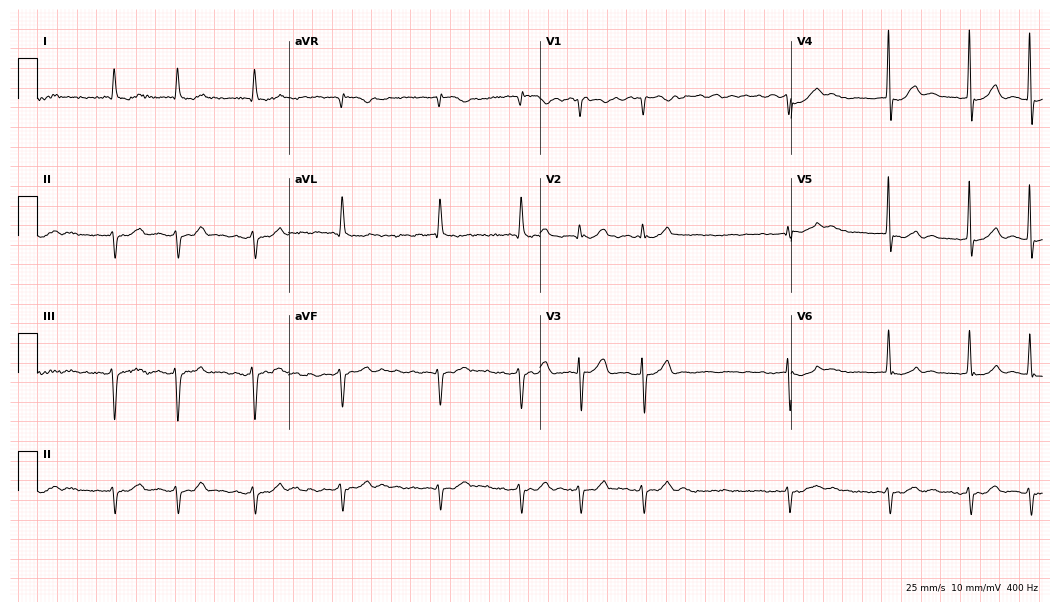
Standard 12-lead ECG recorded from a man, 85 years old. The tracing shows atrial fibrillation (AF).